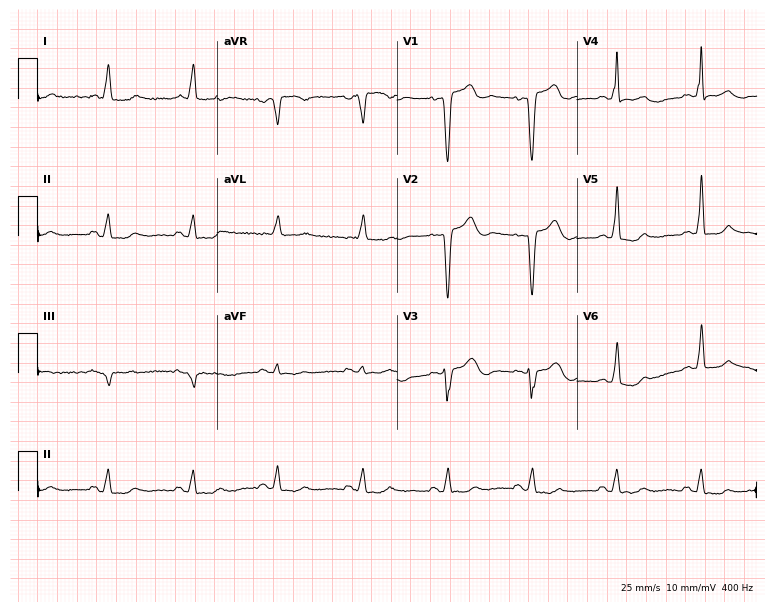
12-lead ECG from a 77-year-old male patient. No first-degree AV block, right bundle branch block (RBBB), left bundle branch block (LBBB), sinus bradycardia, atrial fibrillation (AF) or sinus tachycardia recorded for this tracing. Only these six findings were labelled.